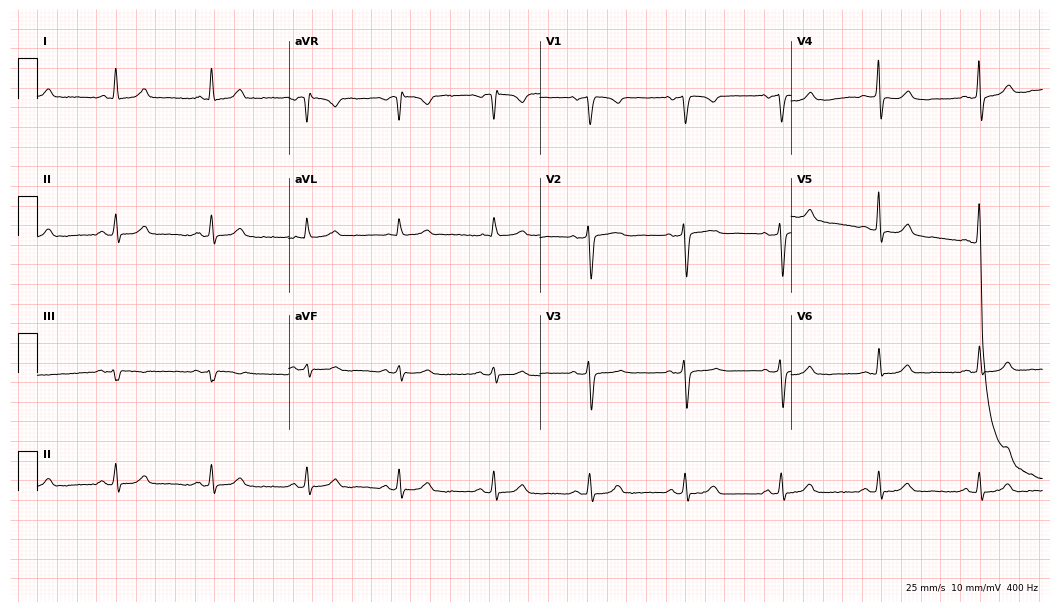
12-lead ECG (10.2-second recording at 400 Hz) from a 51-year-old female patient. Screened for six findings — first-degree AV block, right bundle branch block, left bundle branch block, sinus bradycardia, atrial fibrillation, sinus tachycardia — none is recorded. Findings outside these six are not listed.